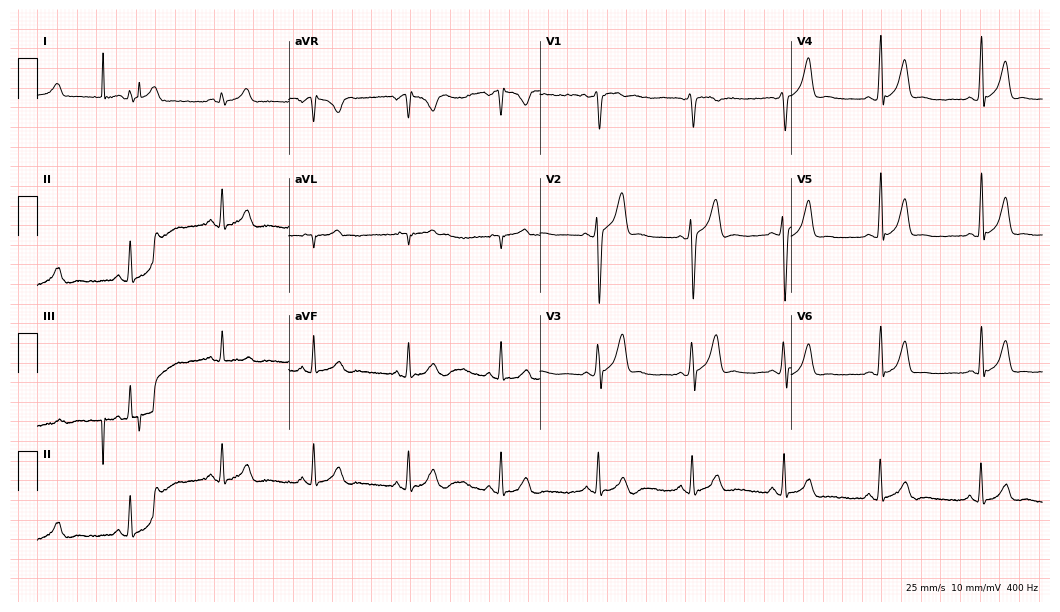
12-lead ECG from a 21-year-old male patient (10.2-second recording at 400 Hz). No first-degree AV block, right bundle branch block (RBBB), left bundle branch block (LBBB), sinus bradycardia, atrial fibrillation (AF) or sinus tachycardia recorded for this tracing. Findings outside these six are not listed.